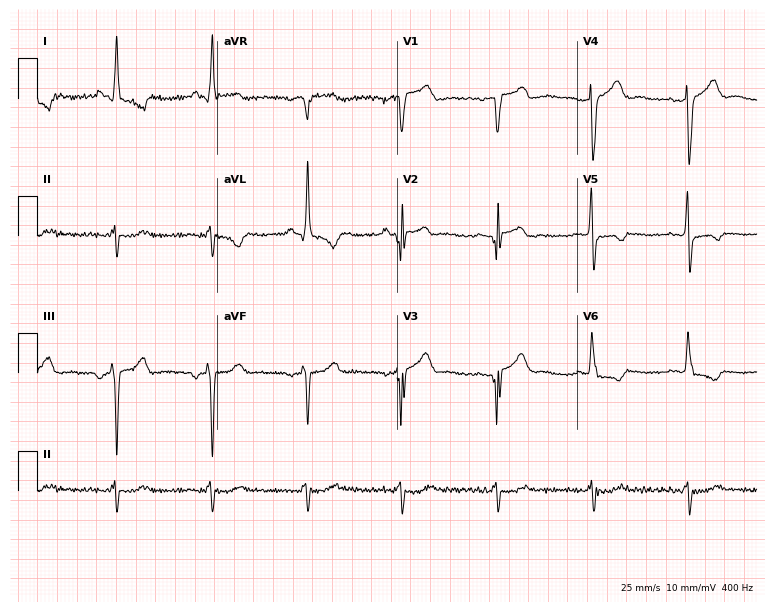
ECG (7.3-second recording at 400 Hz) — a 77-year-old man. Screened for six findings — first-degree AV block, right bundle branch block (RBBB), left bundle branch block (LBBB), sinus bradycardia, atrial fibrillation (AF), sinus tachycardia — none is recorded. Only these six findings were labelled.